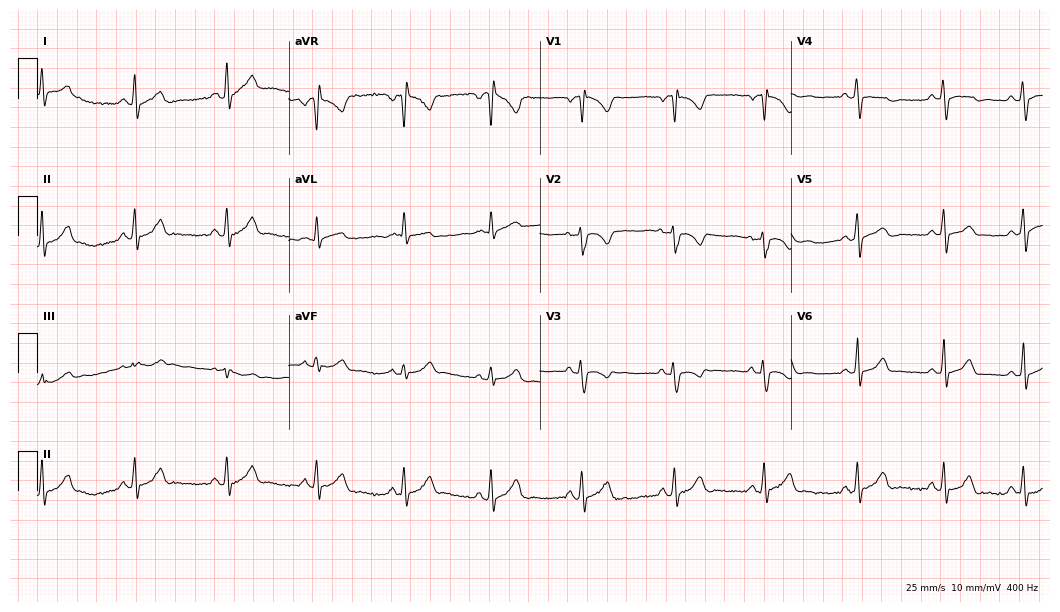
Electrocardiogram (10.2-second recording at 400 Hz), a 26-year-old woman. Overall reading on record: normal ECG.